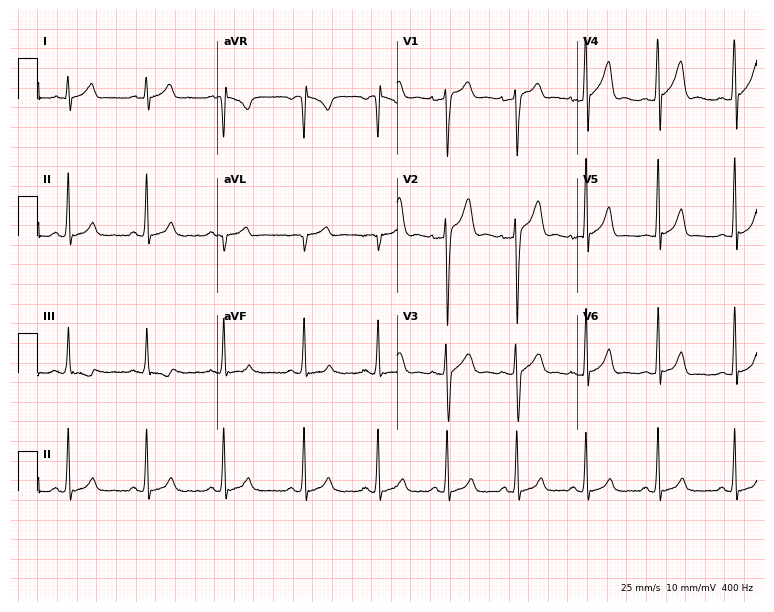
Resting 12-lead electrocardiogram (7.3-second recording at 400 Hz). Patient: a male, 26 years old. None of these six findings is recorded: first-degree AV block, right bundle branch block (RBBB), left bundle branch block (LBBB), sinus bradycardia, atrial fibrillation (AF), sinus tachycardia. Other findings, if any, are not listed.